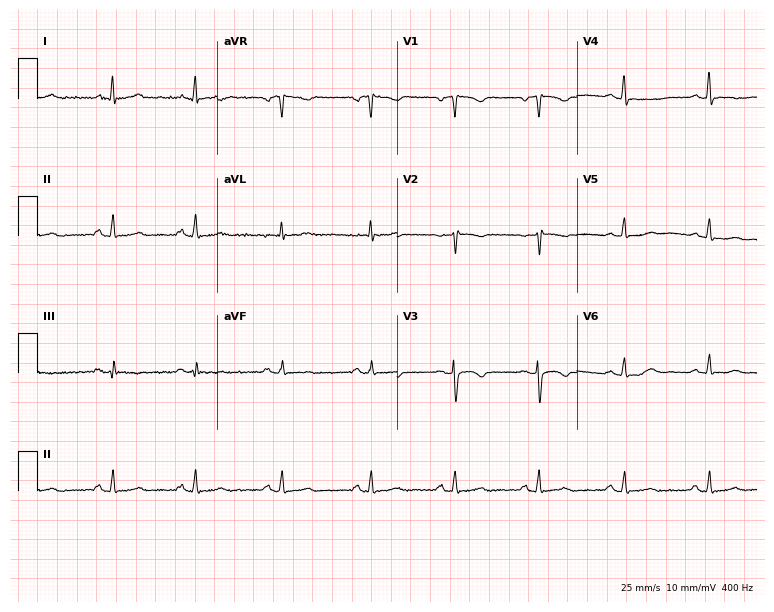
Resting 12-lead electrocardiogram. Patient: a woman, 39 years old. None of these six findings is recorded: first-degree AV block, right bundle branch block (RBBB), left bundle branch block (LBBB), sinus bradycardia, atrial fibrillation (AF), sinus tachycardia.